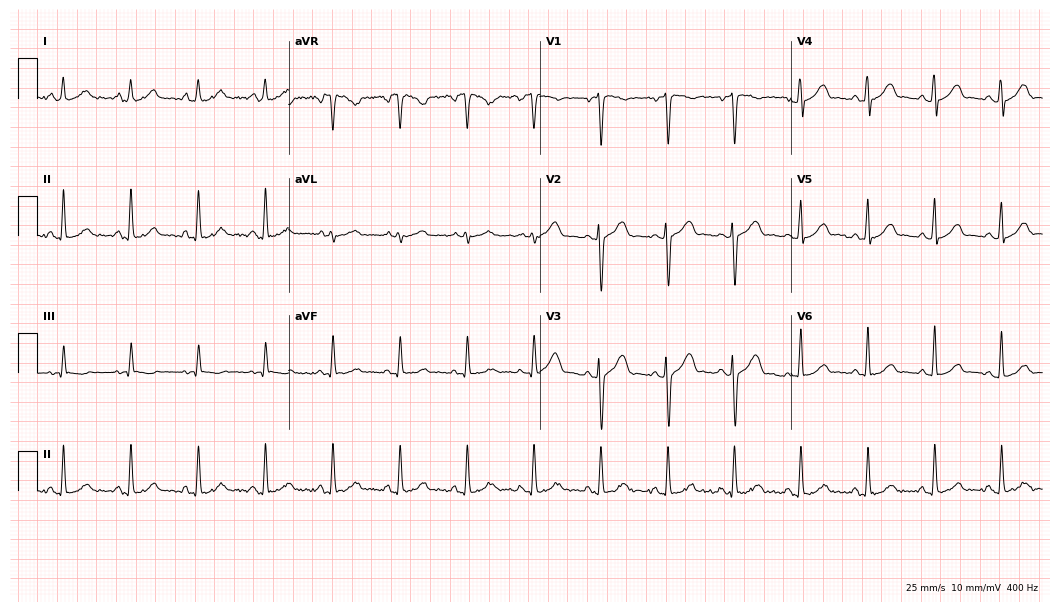
12-lead ECG from a man, 25 years old. Recorded interpretation: within normal limits.